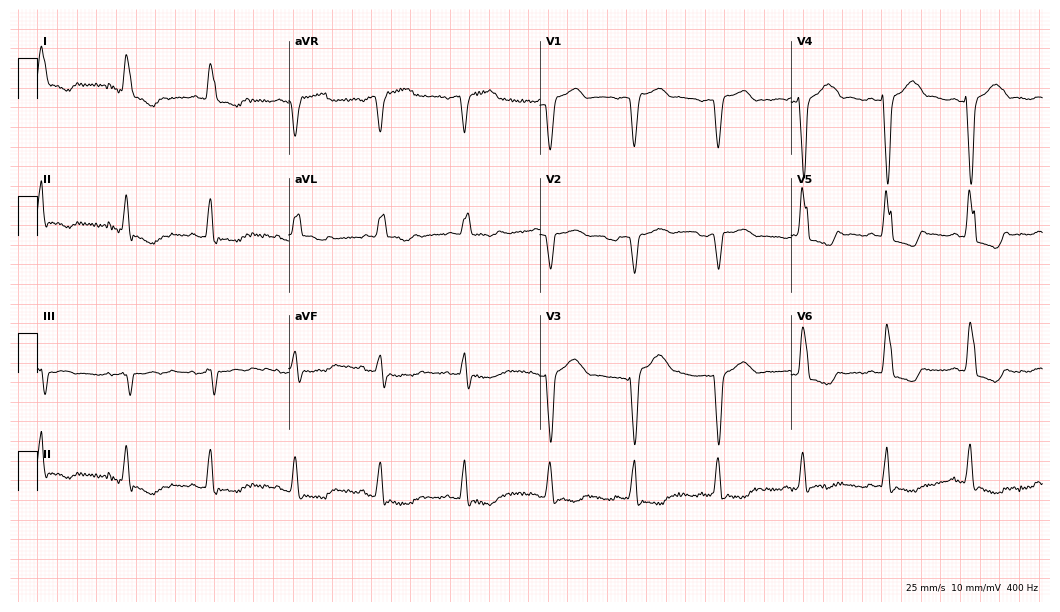
Standard 12-lead ECG recorded from an 81-year-old female (10.2-second recording at 400 Hz). The tracing shows left bundle branch block.